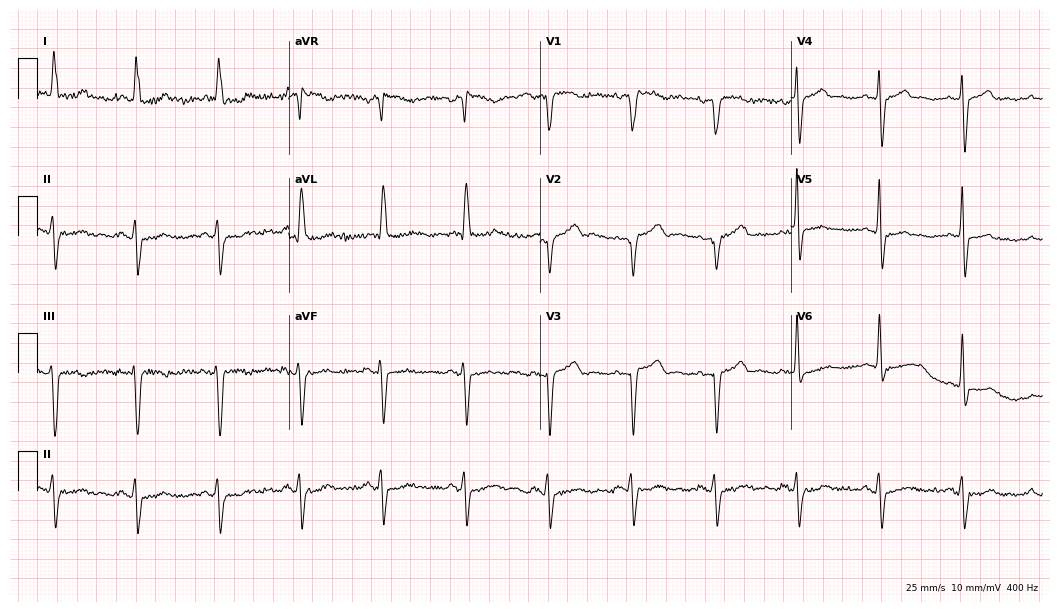
Resting 12-lead electrocardiogram. Patient: a 75-year-old female. None of these six findings is recorded: first-degree AV block, right bundle branch block, left bundle branch block, sinus bradycardia, atrial fibrillation, sinus tachycardia.